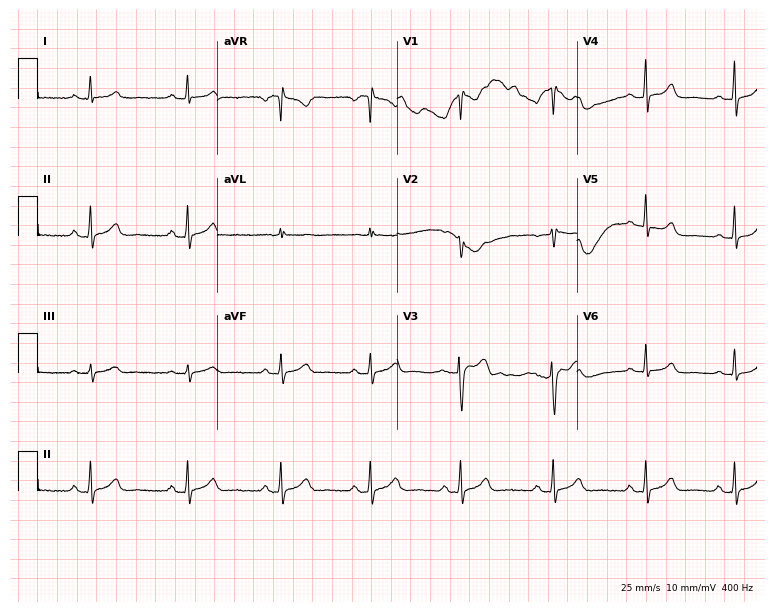
Standard 12-lead ECG recorded from a female patient, 38 years old. None of these six findings is recorded: first-degree AV block, right bundle branch block, left bundle branch block, sinus bradycardia, atrial fibrillation, sinus tachycardia. Only these six findings were labelled.